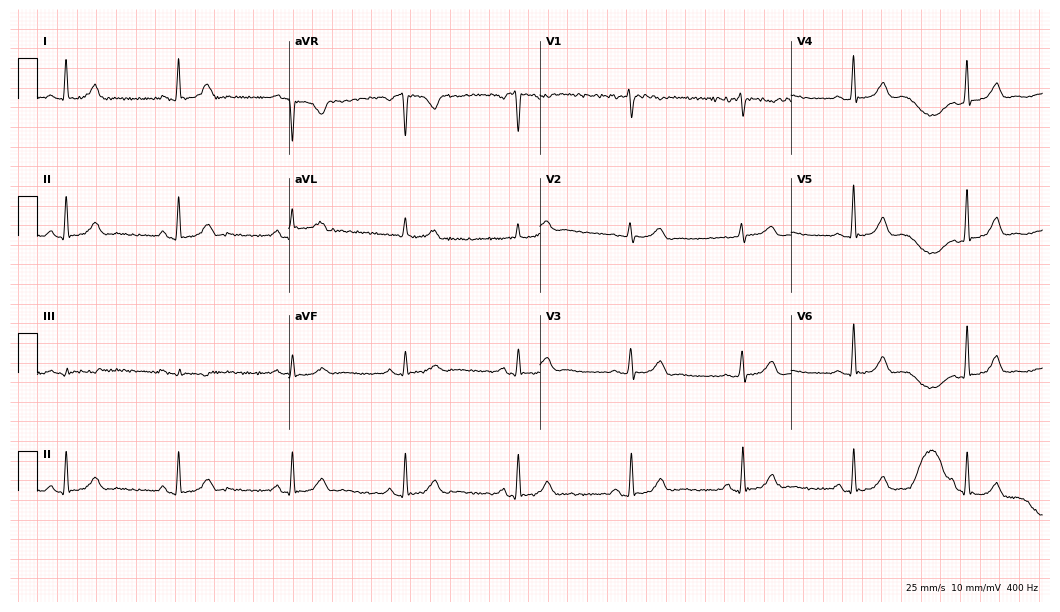
ECG (10.2-second recording at 400 Hz) — a 54-year-old female patient. Labelled as a normal ECG.